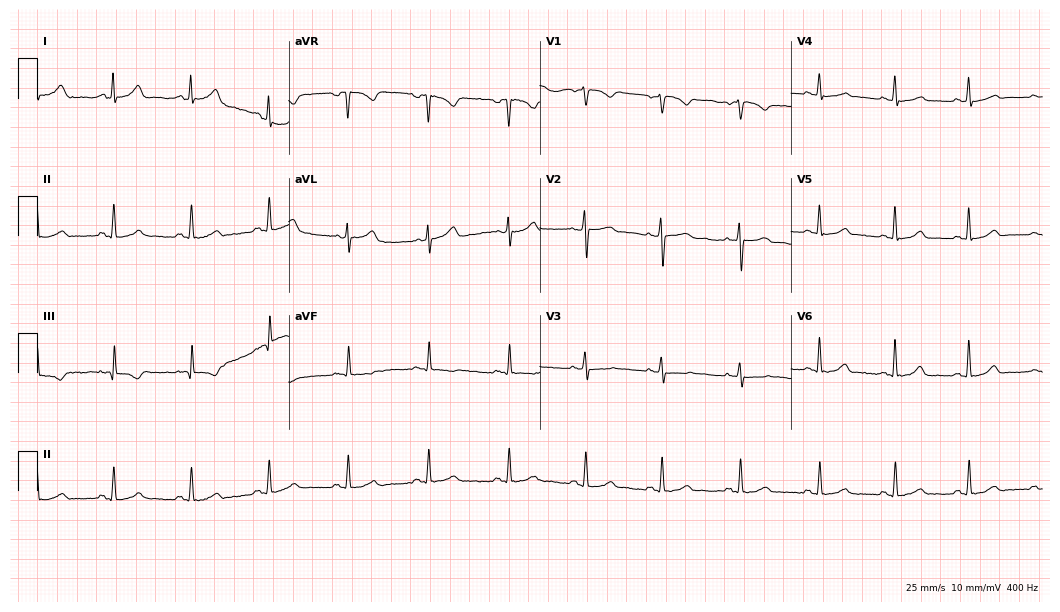
12-lead ECG from a 57-year-old female patient. Recorded interpretation: within normal limits.